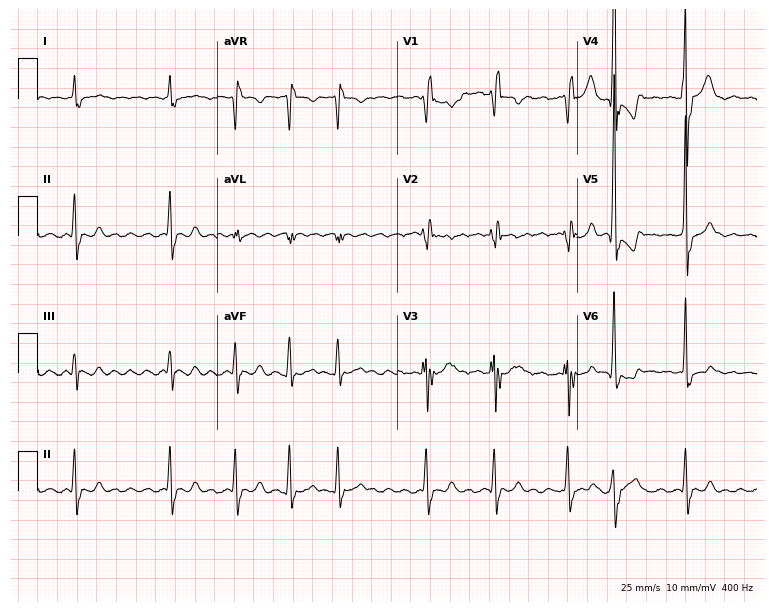
12-lead ECG (7.3-second recording at 400 Hz) from a male patient, 81 years old. Findings include right bundle branch block (RBBB), atrial fibrillation (AF).